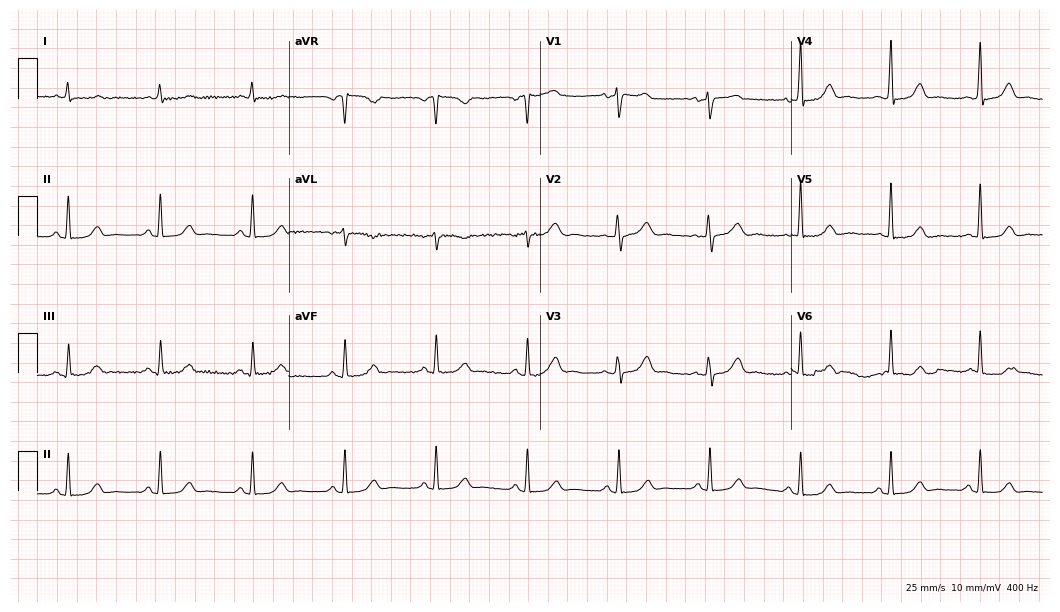
ECG — a female patient, 54 years old. Labelled as a normal ECG.